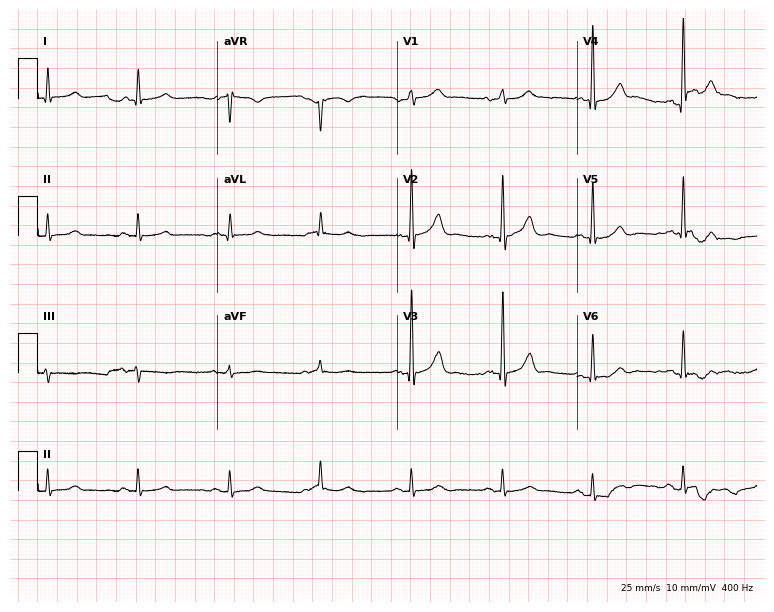
Resting 12-lead electrocardiogram (7.3-second recording at 400 Hz). Patient: a 73-year-old man. Read as a normal ECG.